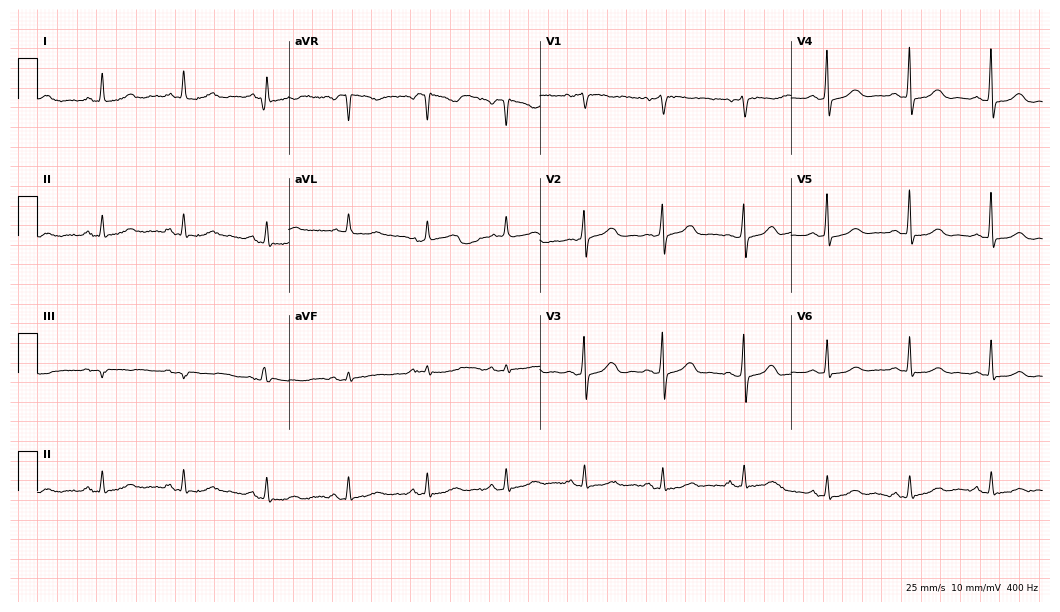
ECG — a female patient, 55 years old. Labelled as a normal ECG.